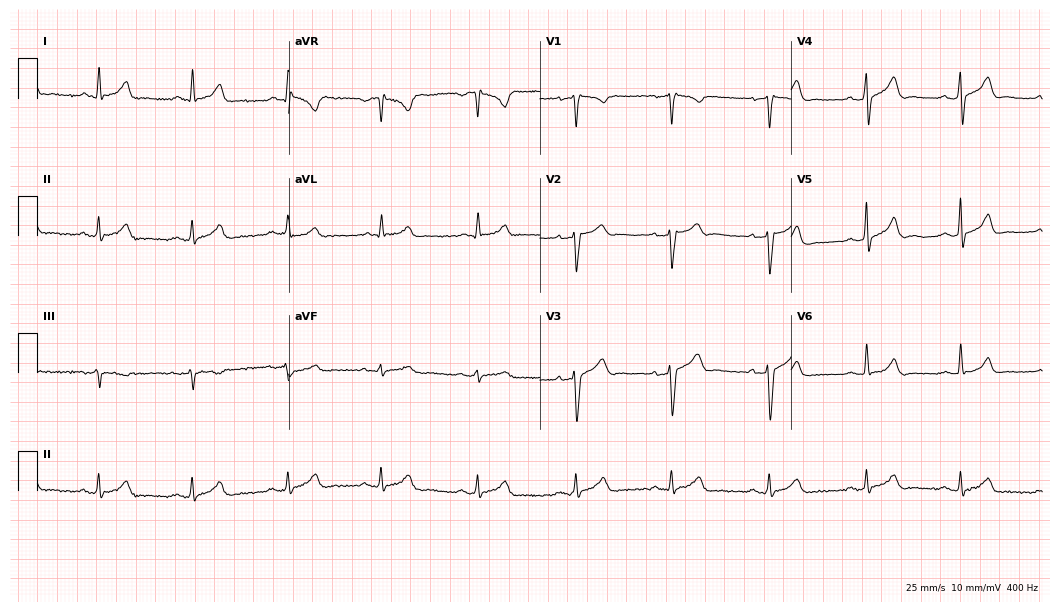
Electrocardiogram (10.2-second recording at 400 Hz), a male, 44 years old. Overall reading on record: normal ECG.